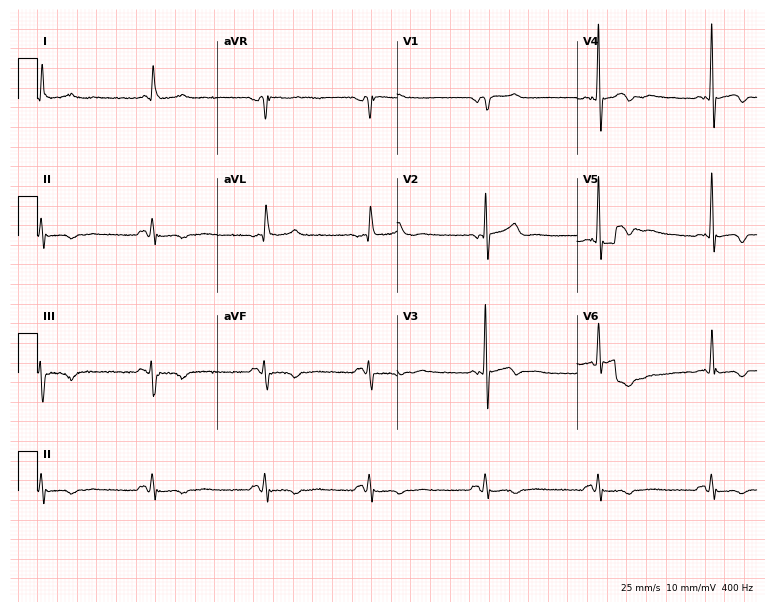
Standard 12-lead ECG recorded from a male, 70 years old (7.3-second recording at 400 Hz). None of these six findings is recorded: first-degree AV block, right bundle branch block, left bundle branch block, sinus bradycardia, atrial fibrillation, sinus tachycardia. Only these six findings were labelled.